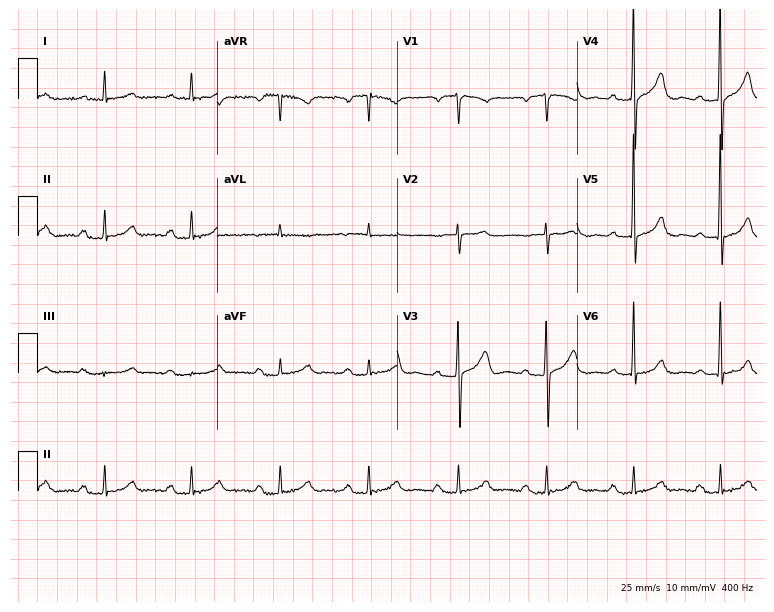
12-lead ECG from an 85-year-old male patient. Shows first-degree AV block.